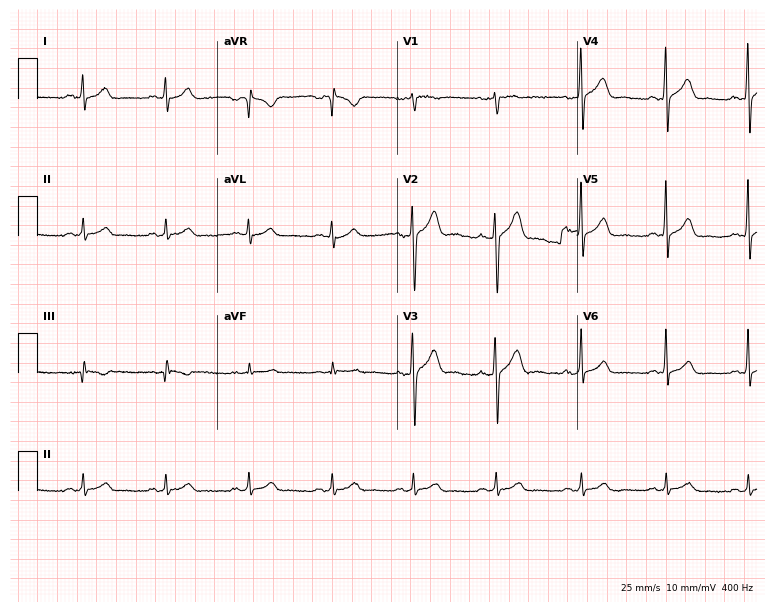
12-lead ECG (7.3-second recording at 400 Hz) from a 33-year-old male. Screened for six findings — first-degree AV block, right bundle branch block, left bundle branch block, sinus bradycardia, atrial fibrillation, sinus tachycardia — none is recorded.